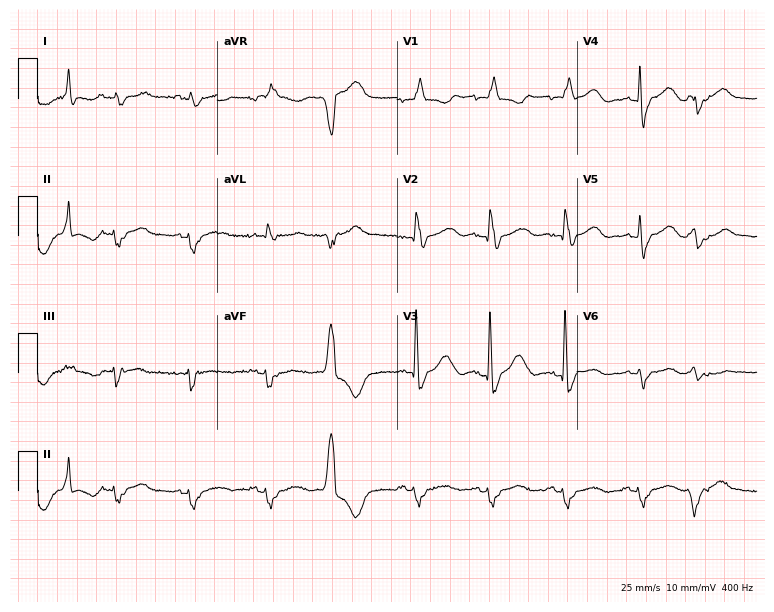
12-lead ECG from a female patient, 68 years old. No first-degree AV block, right bundle branch block, left bundle branch block, sinus bradycardia, atrial fibrillation or sinus tachycardia recorded for this tracing. Other findings, if any, are not listed.